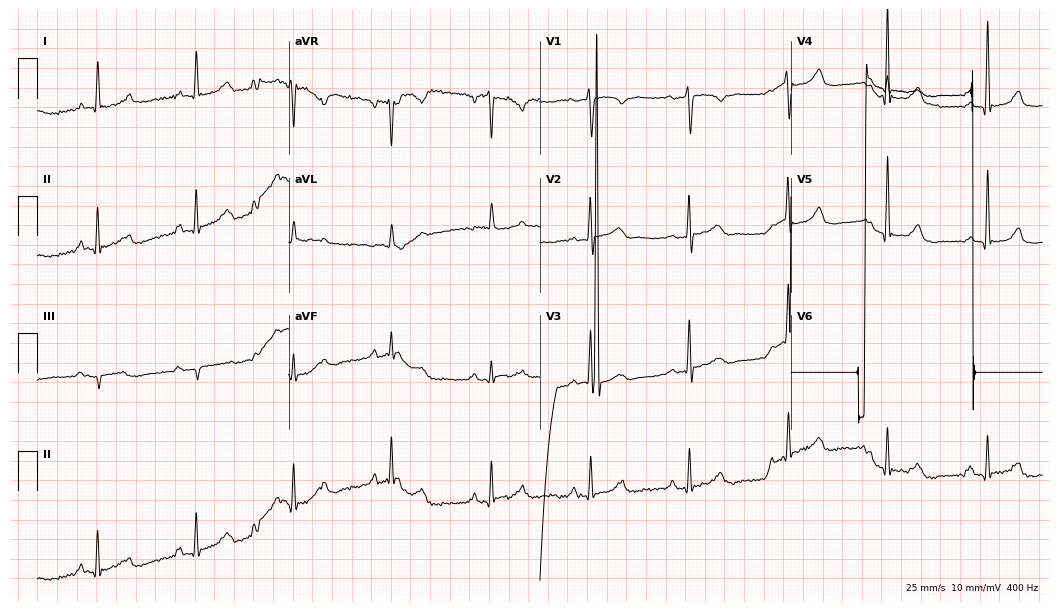
Standard 12-lead ECG recorded from a female patient, 69 years old (10.2-second recording at 400 Hz). None of these six findings is recorded: first-degree AV block, right bundle branch block, left bundle branch block, sinus bradycardia, atrial fibrillation, sinus tachycardia.